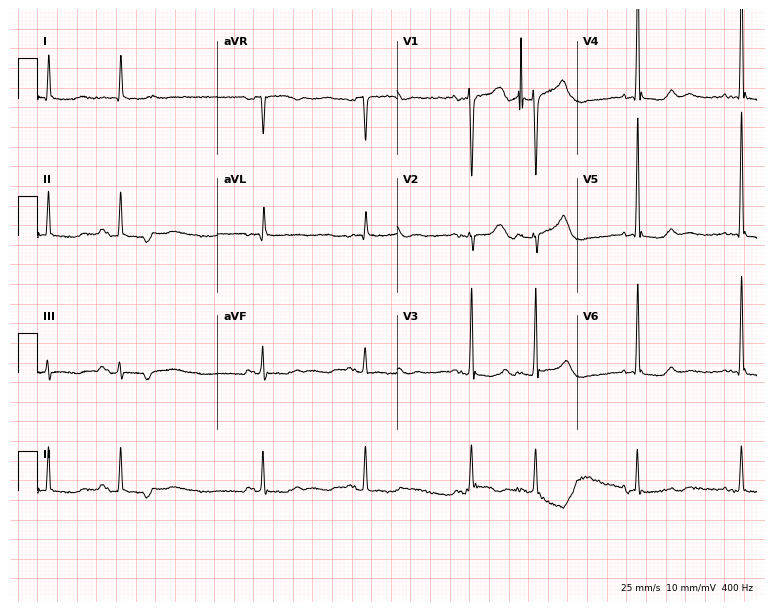
Electrocardiogram, a male, 77 years old. Of the six screened findings (first-degree AV block, right bundle branch block, left bundle branch block, sinus bradycardia, atrial fibrillation, sinus tachycardia), none is recorded. Only these six findings were labelled.